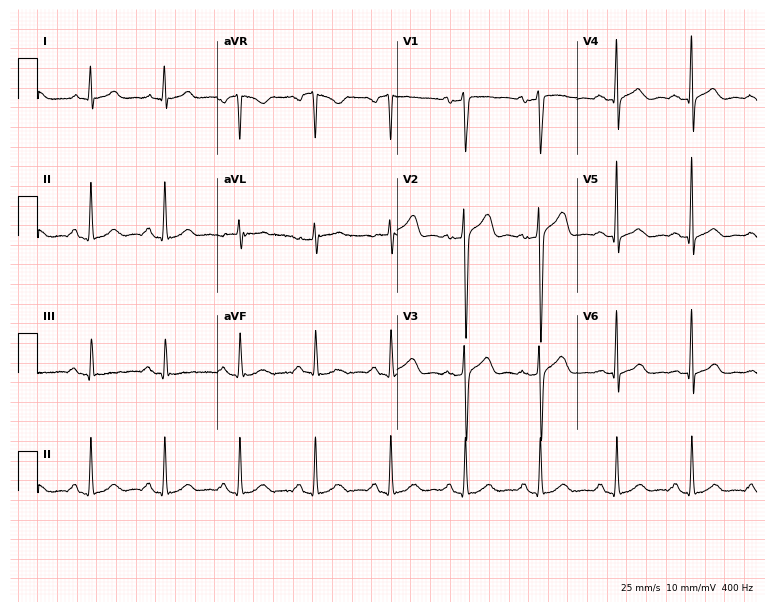
12-lead ECG (7.3-second recording at 400 Hz) from a man, 42 years old. Labelled as a normal ECG.